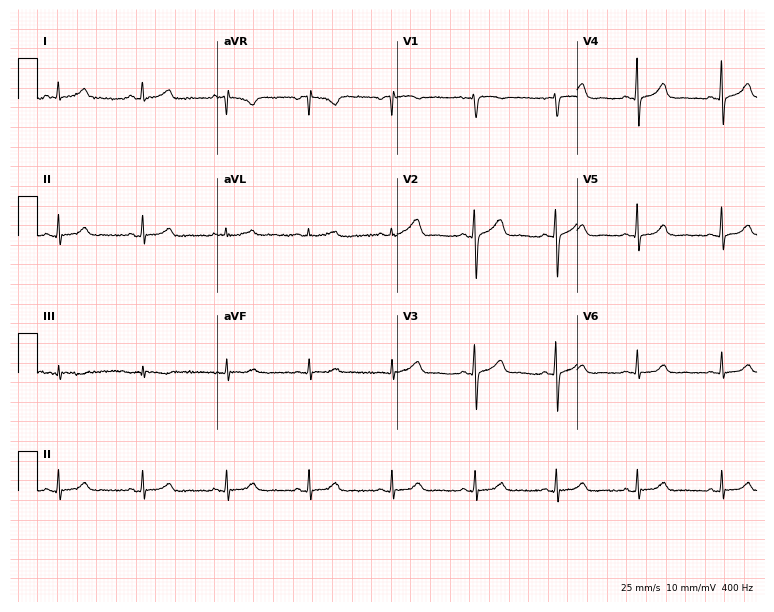
12-lead ECG from a 52-year-old female. Labelled as a normal ECG.